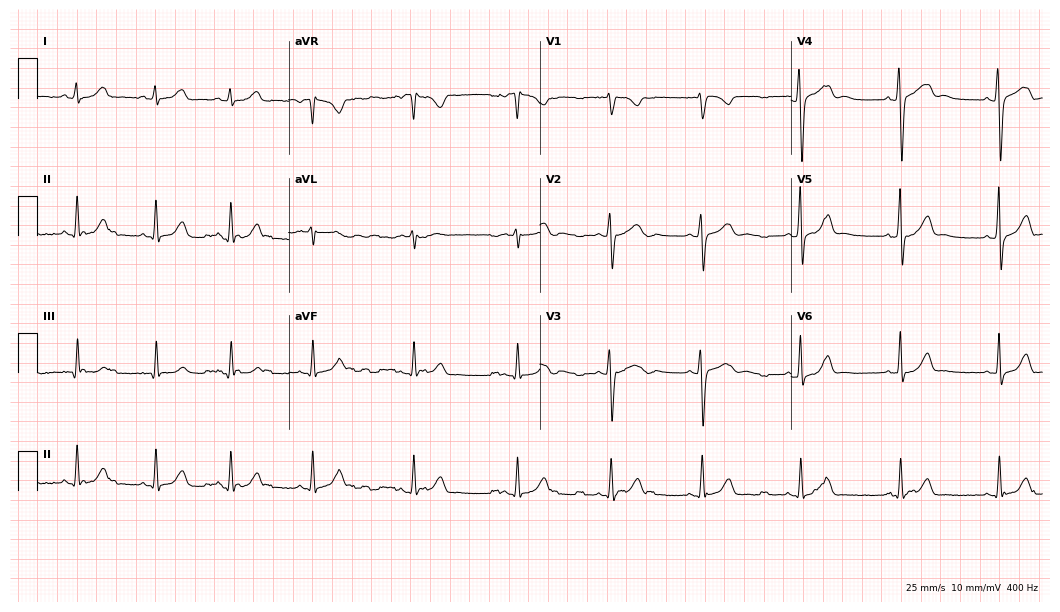
ECG — a woman, 23 years old. Labelled as a normal ECG.